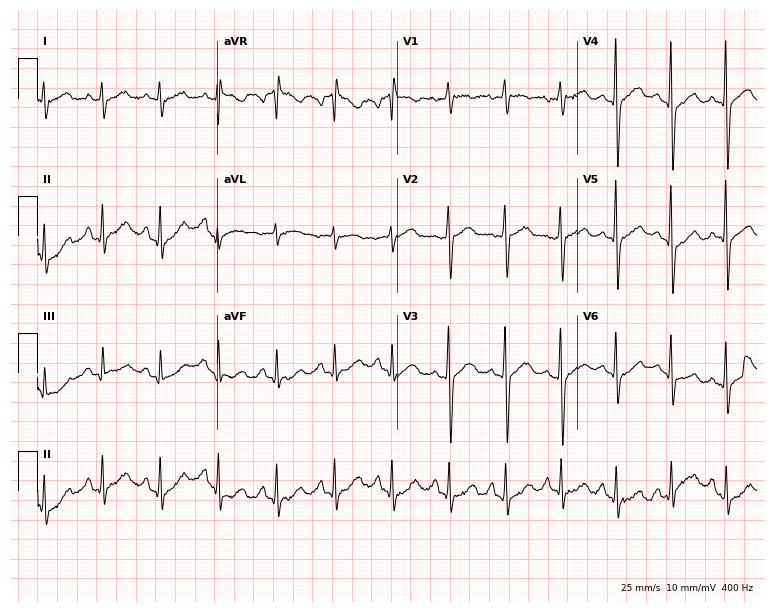
ECG (7.3-second recording at 400 Hz) — a 63-year-old woman. Labelled as a normal ECG.